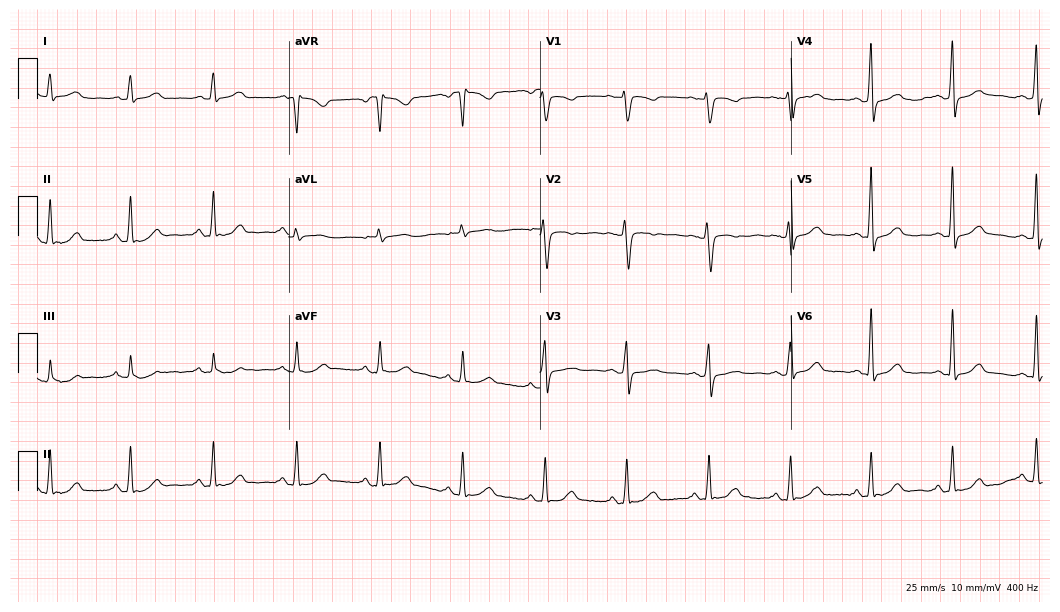
12-lead ECG from a female, 55 years old. Screened for six findings — first-degree AV block, right bundle branch block, left bundle branch block, sinus bradycardia, atrial fibrillation, sinus tachycardia — none is recorded.